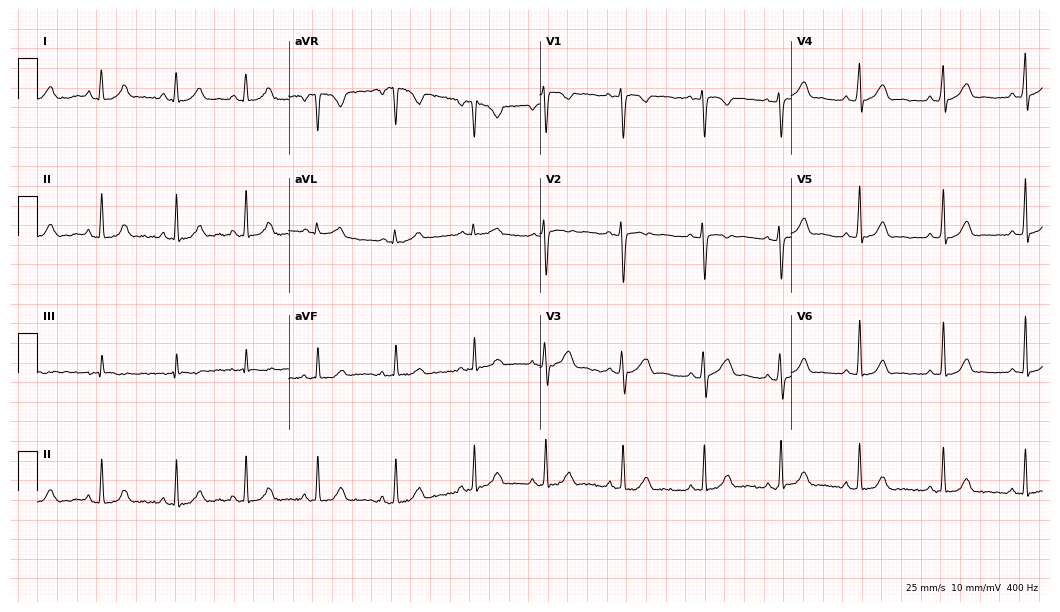
12-lead ECG from an 18-year-old woman. Recorded interpretation: within normal limits.